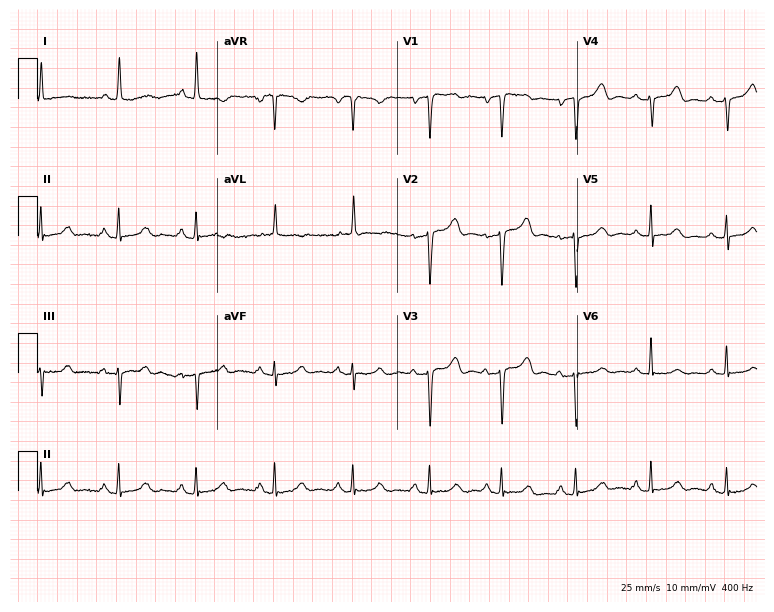
12-lead ECG from an 85-year-old female patient. Screened for six findings — first-degree AV block, right bundle branch block, left bundle branch block, sinus bradycardia, atrial fibrillation, sinus tachycardia — none is recorded. Findings outside these six are not listed.